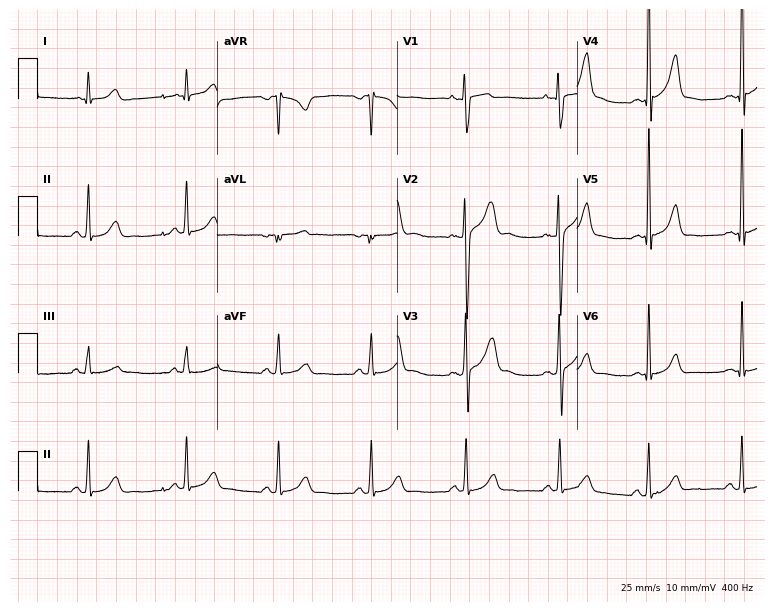
ECG — a male patient, 25 years old. Labelled as a normal ECG.